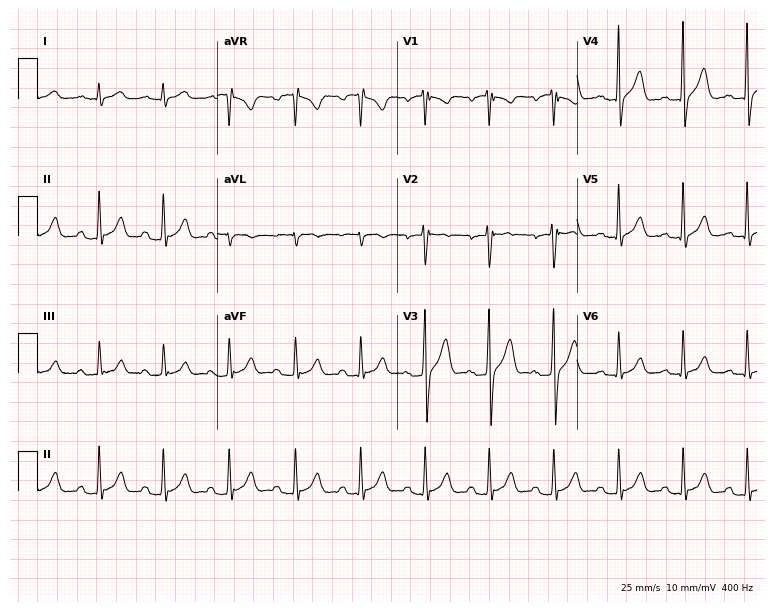
Electrocardiogram, a male patient, 41 years old. Overall reading on record: normal ECG.